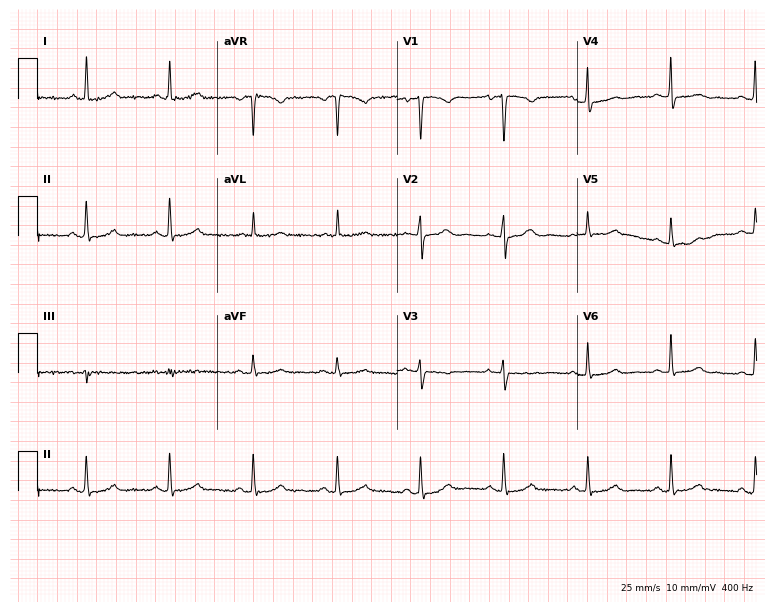
Standard 12-lead ECG recorded from a woman, 70 years old (7.3-second recording at 400 Hz). Read as a normal ECG.